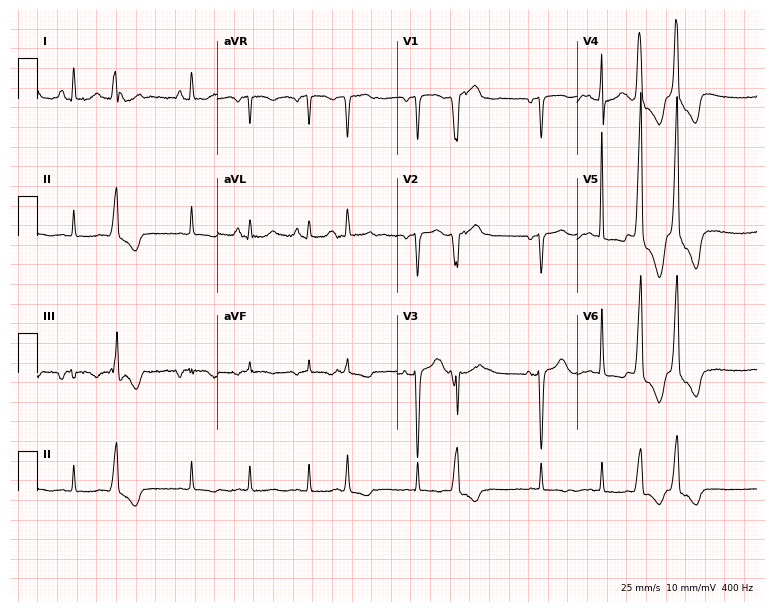
Standard 12-lead ECG recorded from a female, 83 years old. None of these six findings is recorded: first-degree AV block, right bundle branch block, left bundle branch block, sinus bradycardia, atrial fibrillation, sinus tachycardia. Other findings, if any, are not listed.